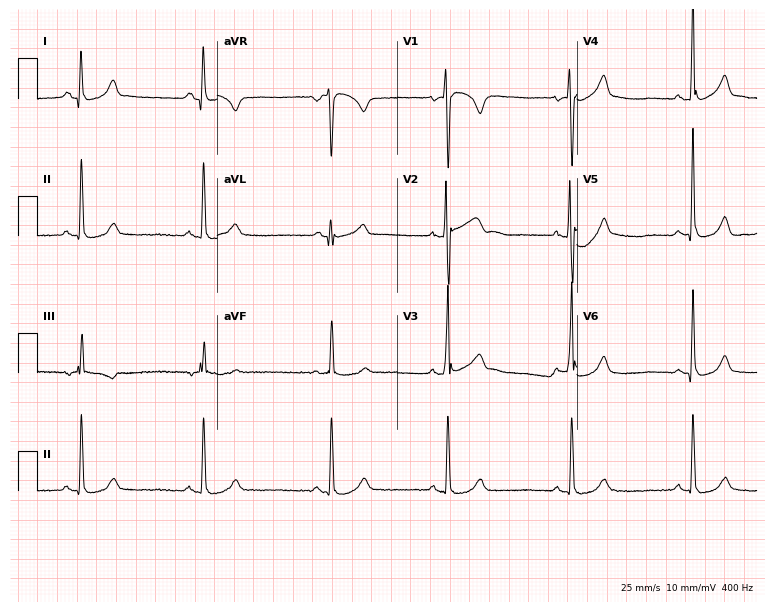
12-lead ECG from a man, 21 years old. Shows sinus bradycardia (a sinus rate of 50 beats per minute or less).